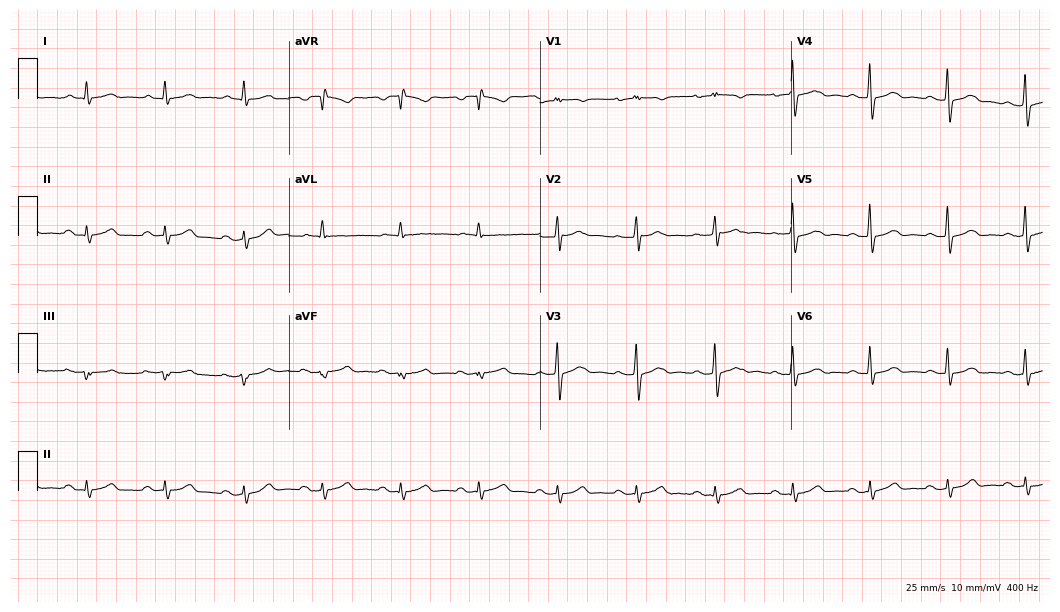
12-lead ECG from a 64-year-old male. Recorded interpretation: within normal limits.